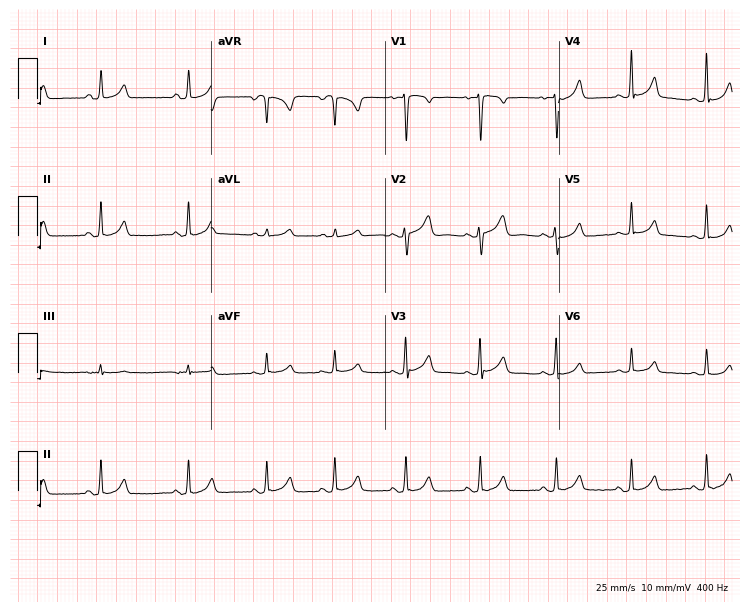
Standard 12-lead ECG recorded from a 21-year-old female patient (7.1-second recording at 400 Hz). None of these six findings is recorded: first-degree AV block, right bundle branch block, left bundle branch block, sinus bradycardia, atrial fibrillation, sinus tachycardia.